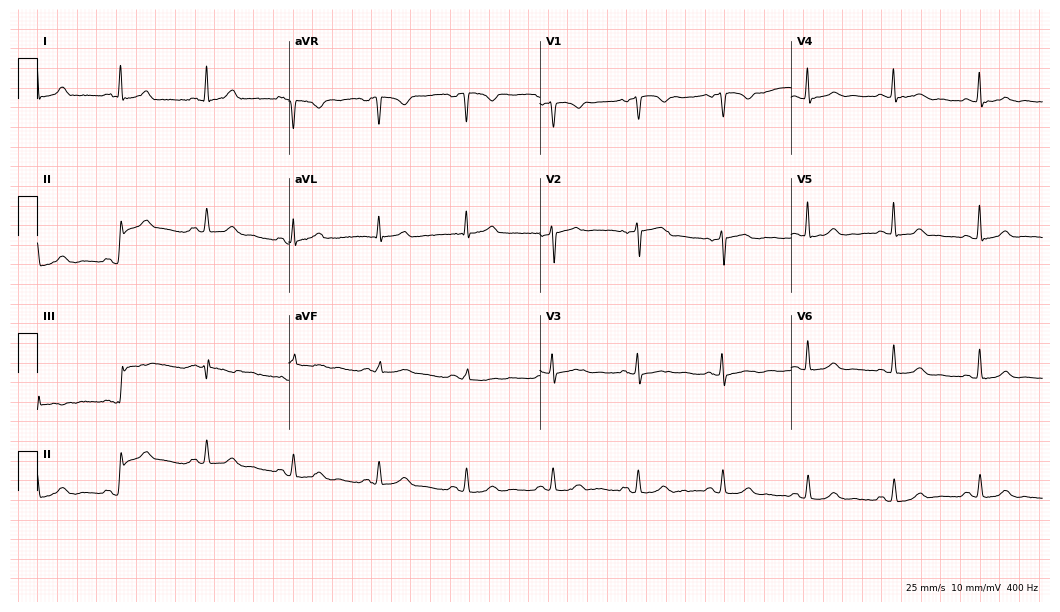
ECG (10.2-second recording at 400 Hz) — a 51-year-old woman. Labelled as a normal ECG.